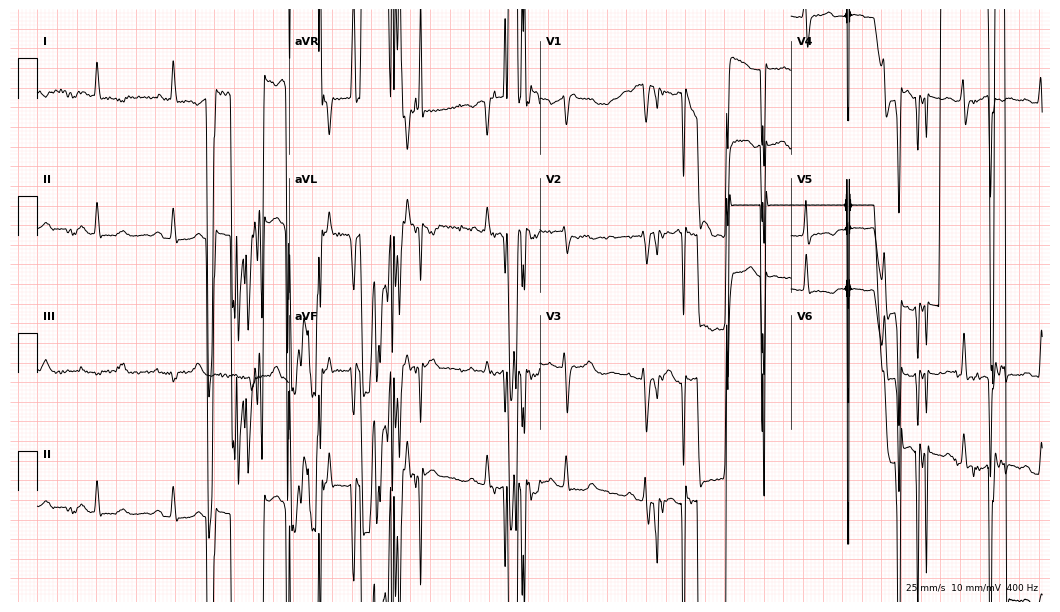
12-lead ECG (10.2-second recording at 400 Hz) from a female patient, 67 years old. Screened for six findings — first-degree AV block, right bundle branch block (RBBB), left bundle branch block (LBBB), sinus bradycardia, atrial fibrillation (AF), sinus tachycardia — none is recorded.